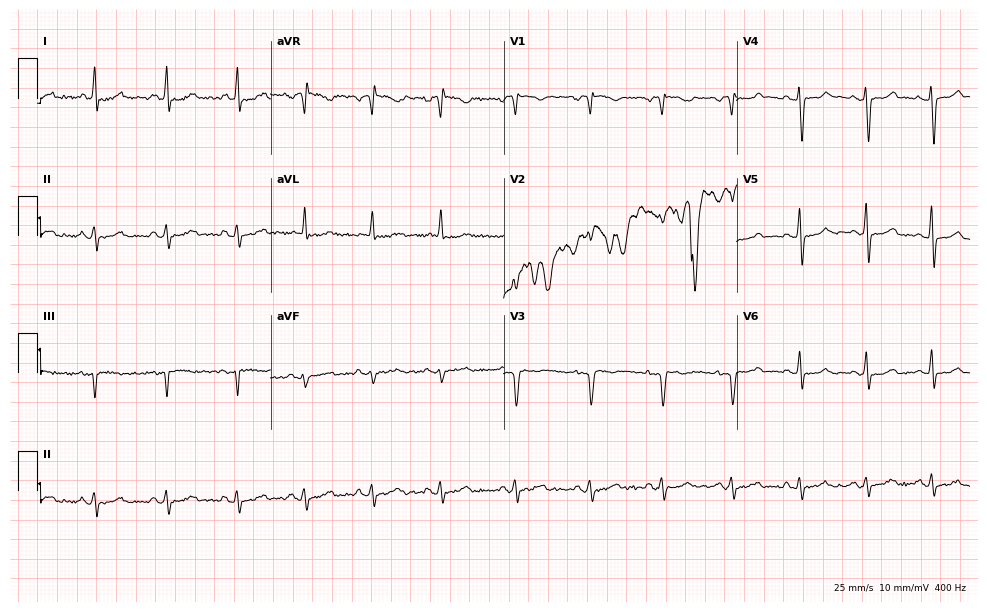
Resting 12-lead electrocardiogram (9.5-second recording at 400 Hz). Patient: a female, 40 years old. None of these six findings is recorded: first-degree AV block, right bundle branch block (RBBB), left bundle branch block (LBBB), sinus bradycardia, atrial fibrillation (AF), sinus tachycardia.